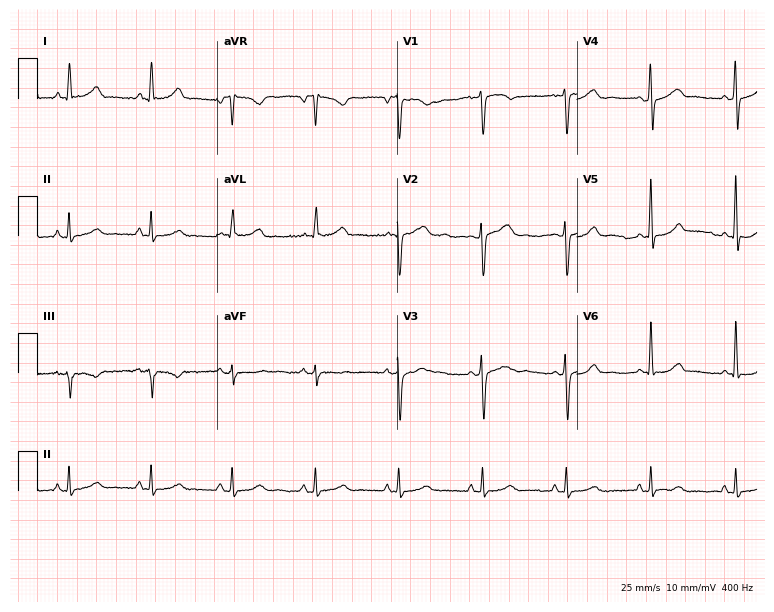
12-lead ECG from a 57-year-old female (7.3-second recording at 400 Hz). Recorded interpretation: within normal limits.